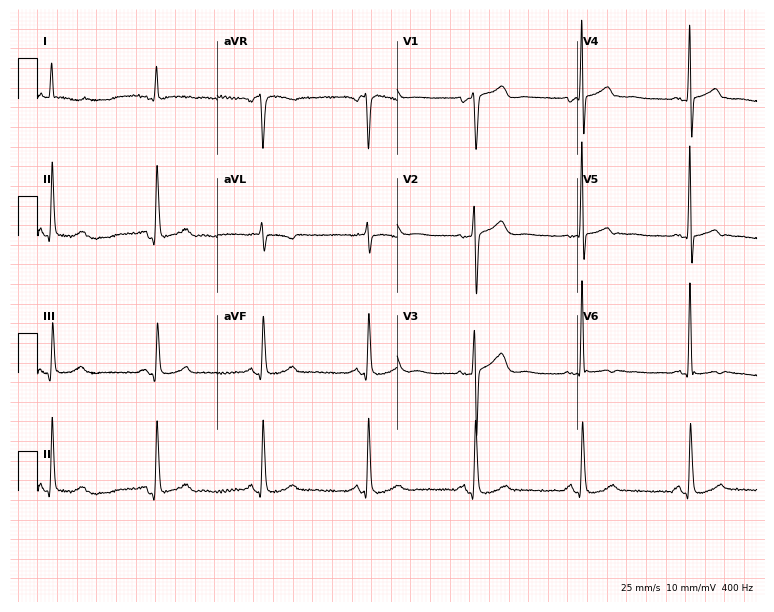
12-lead ECG (7.3-second recording at 400 Hz) from a man, 79 years old. Screened for six findings — first-degree AV block, right bundle branch block, left bundle branch block, sinus bradycardia, atrial fibrillation, sinus tachycardia — none is recorded. Only these six findings were labelled.